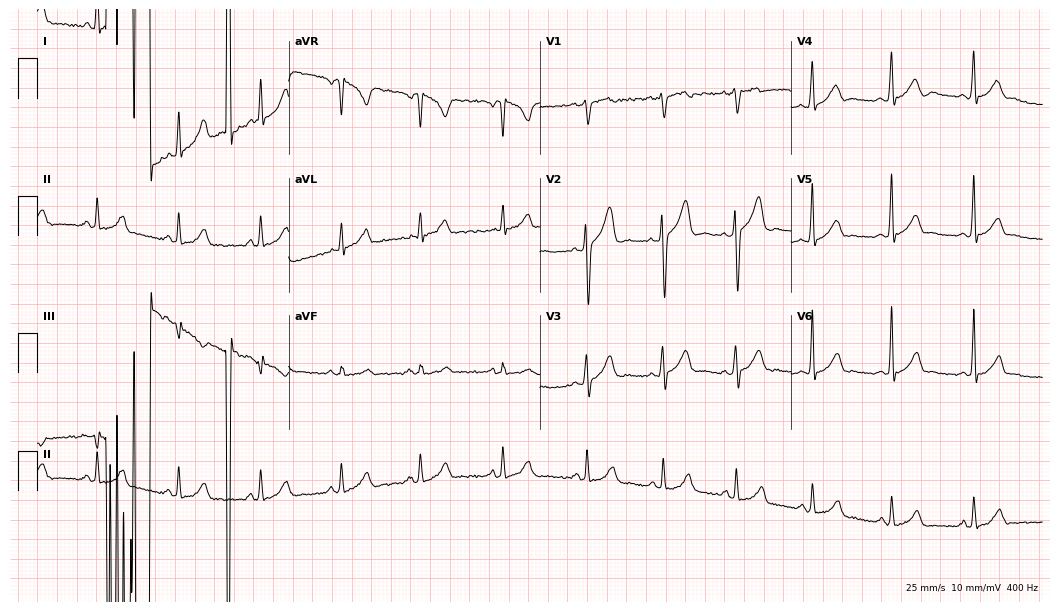
Electrocardiogram, a 23-year-old man. Of the six screened findings (first-degree AV block, right bundle branch block (RBBB), left bundle branch block (LBBB), sinus bradycardia, atrial fibrillation (AF), sinus tachycardia), none is recorded. Only these six findings were labelled.